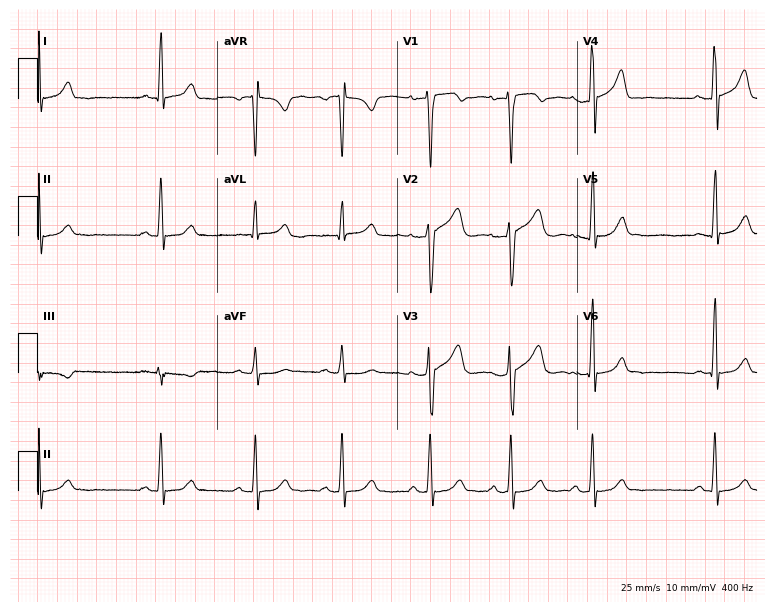
12-lead ECG from a 21-year-old female. Recorded interpretation: within normal limits.